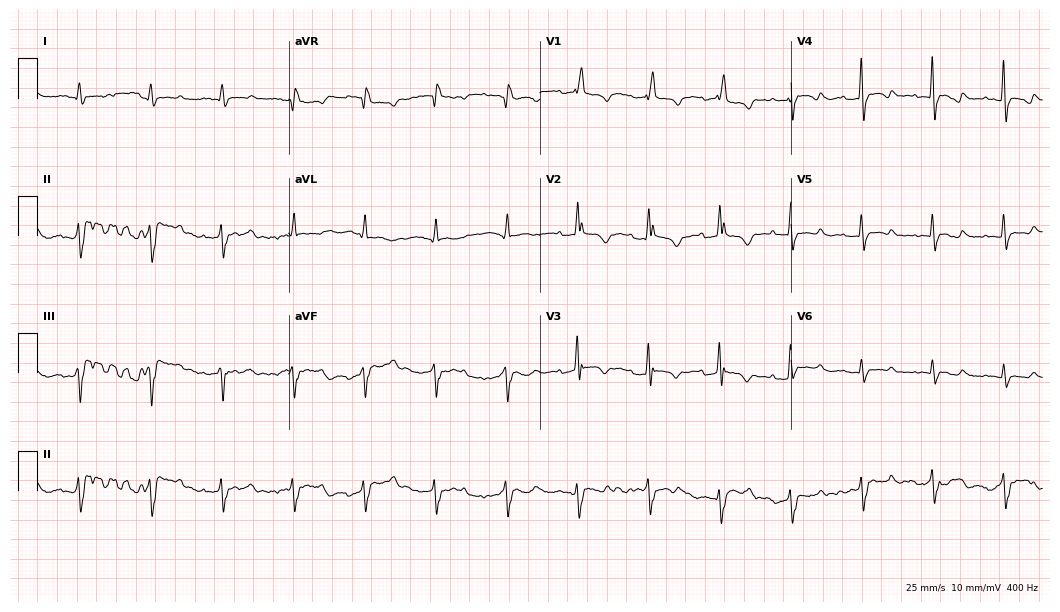
12-lead ECG from a 49-year-old female. No first-degree AV block, right bundle branch block, left bundle branch block, sinus bradycardia, atrial fibrillation or sinus tachycardia recorded for this tracing. Only these six findings were labelled.